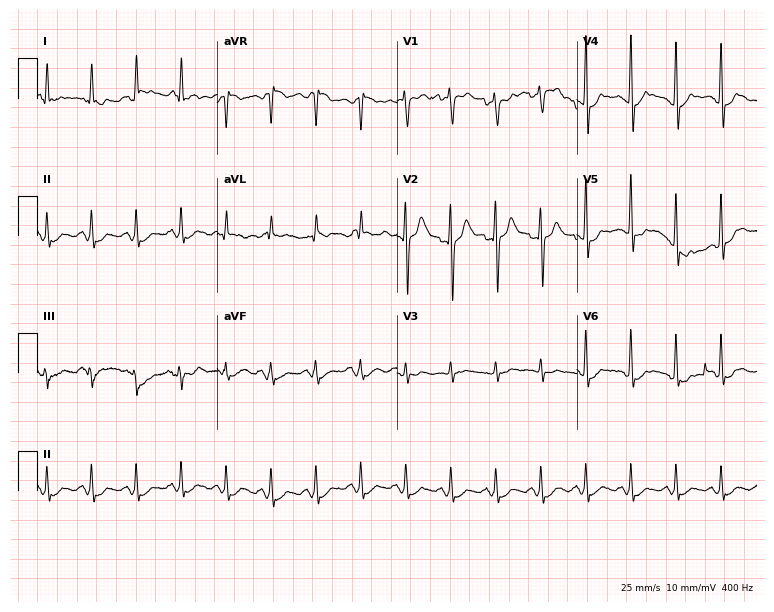
Resting 12-lead electrocardiogram. Patient: a man, 44 years old. The tracing shows sinus tachycardia (a sinus rate of 100 beats per minute or more).